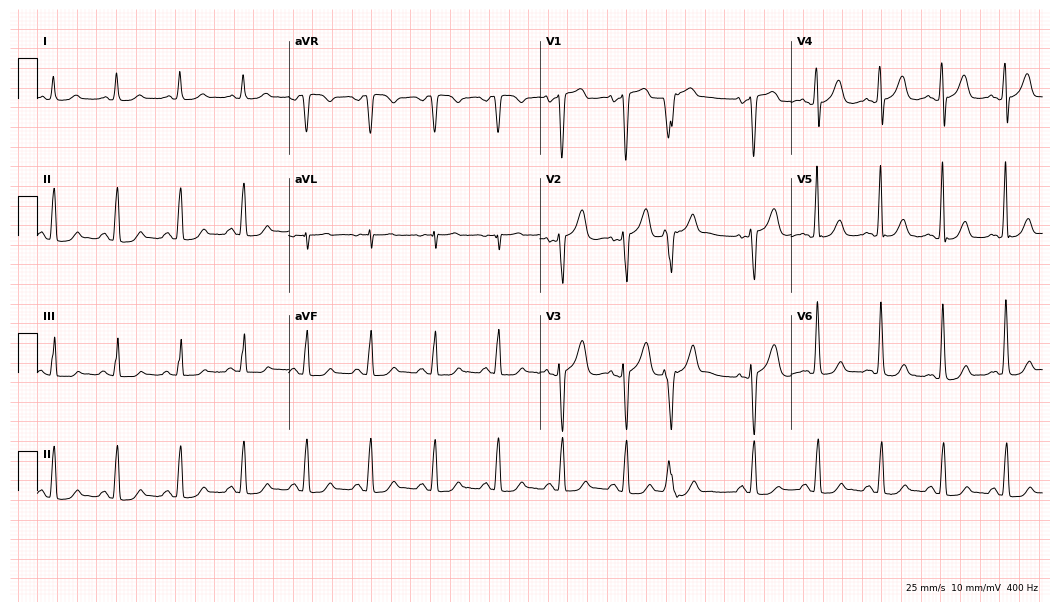
ECG — an 81-year-old female patient. Screened for six findings — first-degree AV block, right bundle branch block (RBBB), left bundle branch block (LBBB), sinus bradycardia, atrial fibrillation (AF), sinus tachycardia — none is recorded.